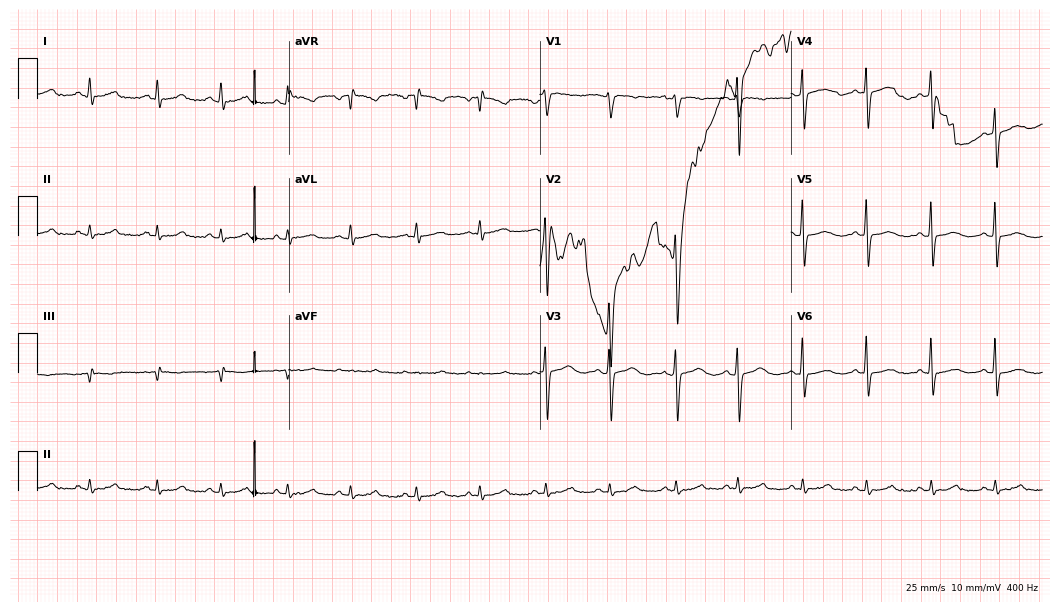
12-lead ECG from a 52-year-old female. Screened for six findings — first-degree AV block, right bundle branch block, left bundle branch block, sinus bradycardia, atrial fibrillation, sinus tachycardia — none is recorded.